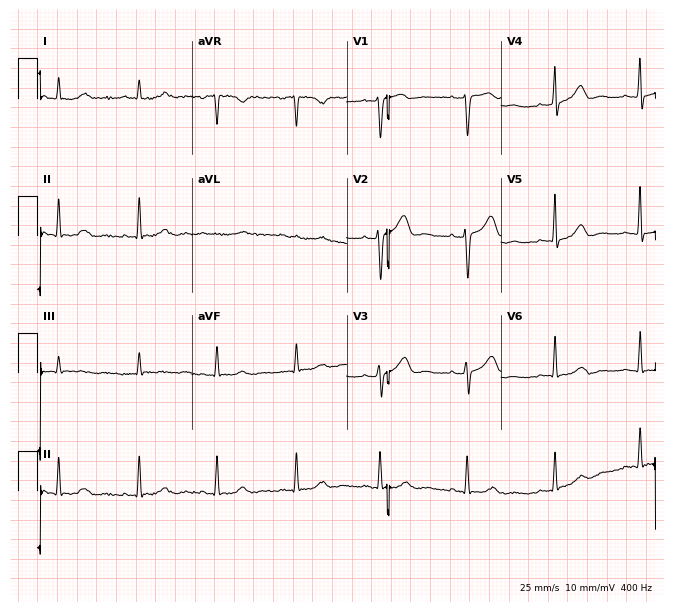
Standard 12-lead ECG recorded from a female, 46 years old (6.3-second recording at 400 Hz). None of these six findings is recorded: first-degree AV block, right bundle branch block (RBBB), left bundle branch block (LBBB), sinus bradycardia, atrial fibrillation (AF), sinus tachycardia. Only these six findings were labelled.